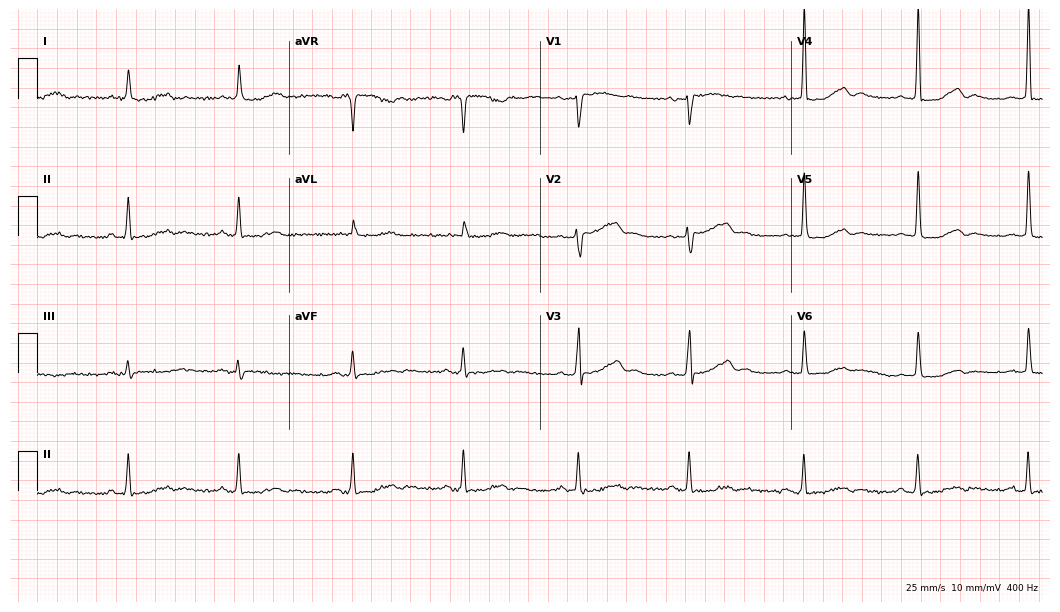
ECG (10.2-second recording at 400 Hz) — a 71-year-old female. Screened for six findings — first-degree AV block, right bundle branch block, left bundle branch block, sinus bradycardia, atrial fibrillation, sinus tachycardia — none is recorded.